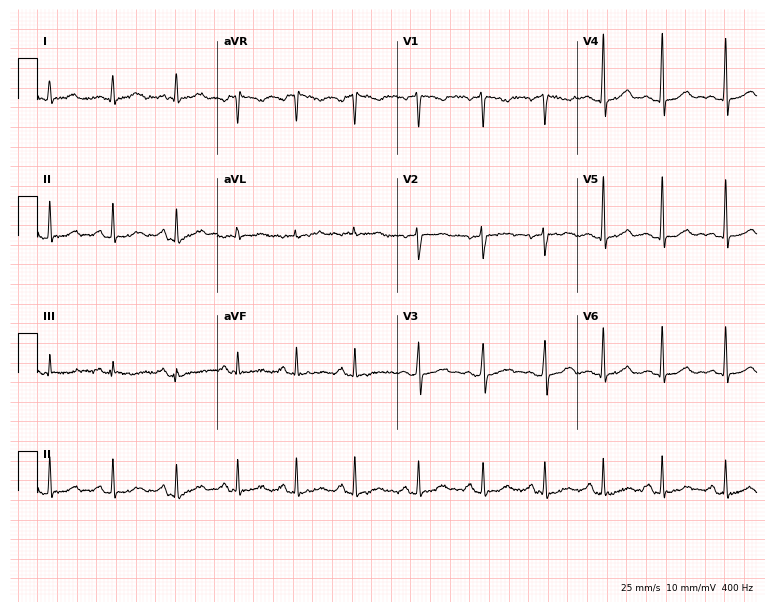
12-lead ECG from a female, 29 years old. No first-degree AV block, right bundle branch block, left bundle branch block, sinus bradycardia, atrial fibrillation or sinus tachycardia recorded for this tracing. Only these six findings were labelled.